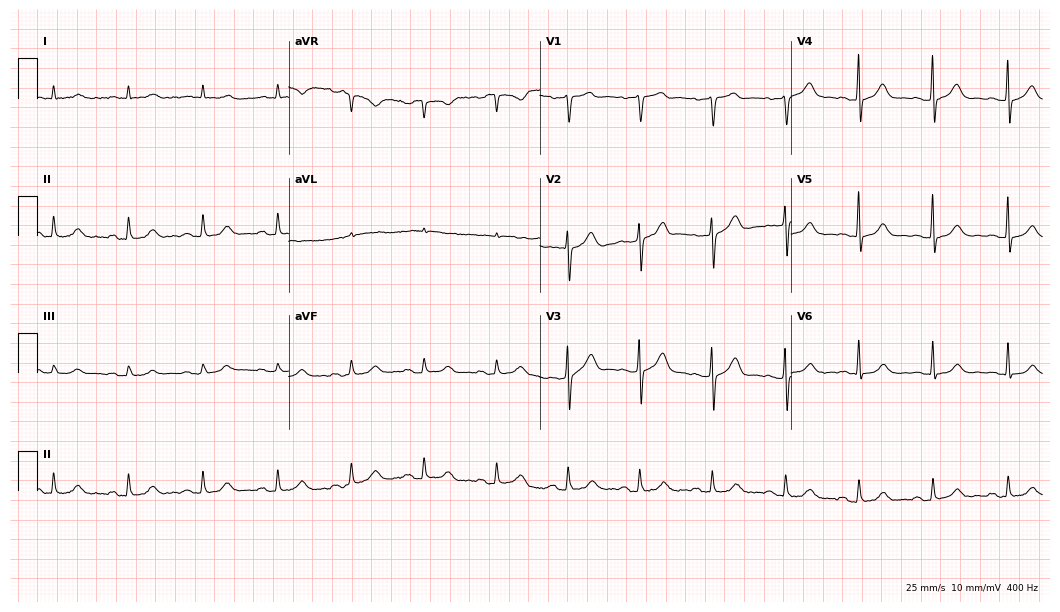
Standard 12-lead ECG recorded from a male, 80 years old (10.2-second recording at 400 Hz). Read as a normal ECG.